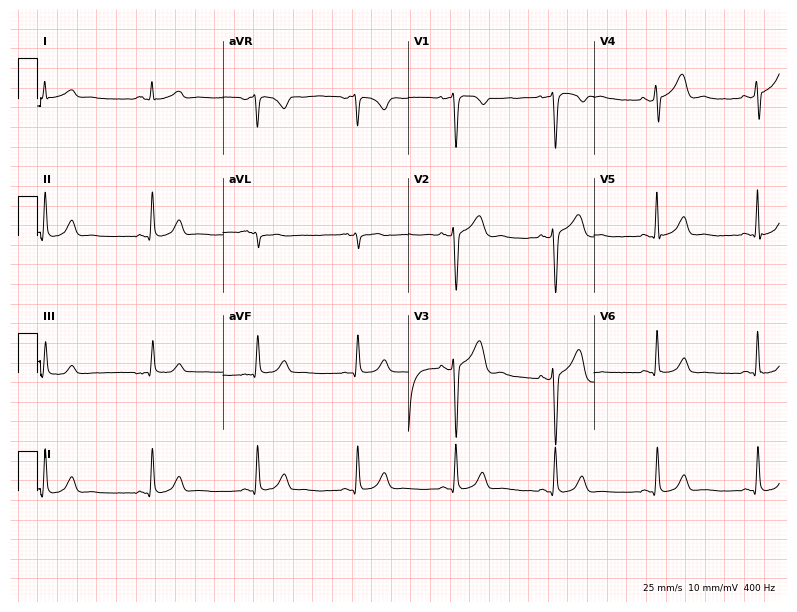
Electrocardiogram (7.6-second recording at 400 Hz), a man, 45 years old. Overall reading on record: normal ECG.